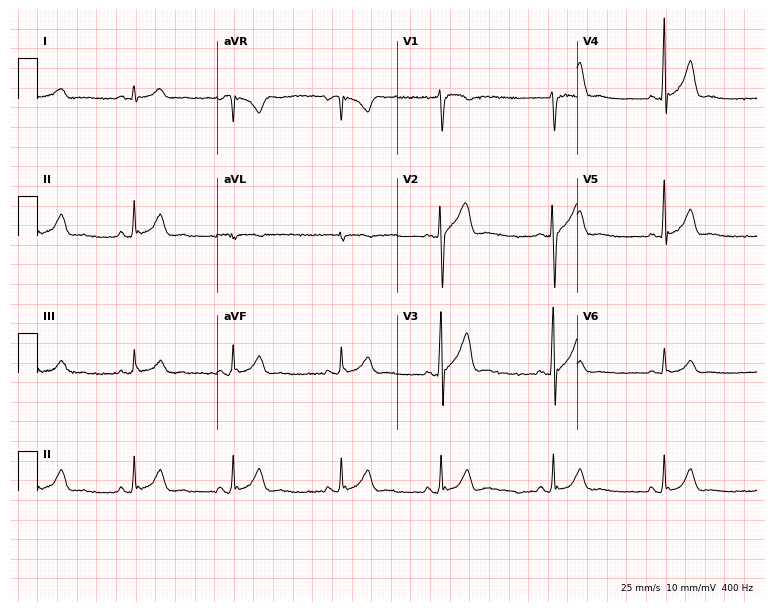
12-lead ECG from a male, 24 years old. Labelled as a normal ECG.